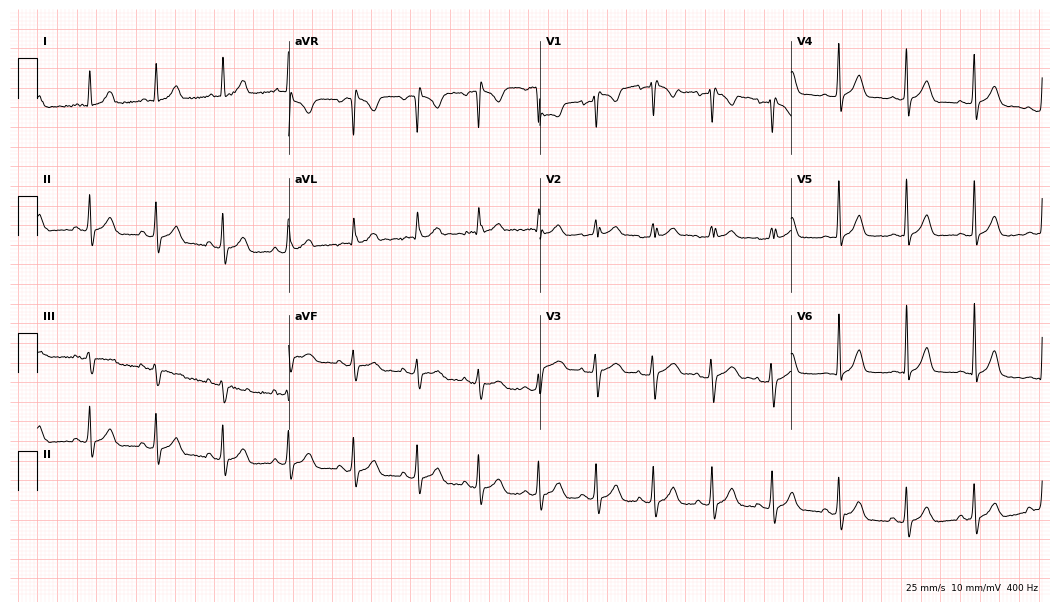
Standard 12-lead ECG recorded from a 39-year-old female patient. Read as a normal ECG.